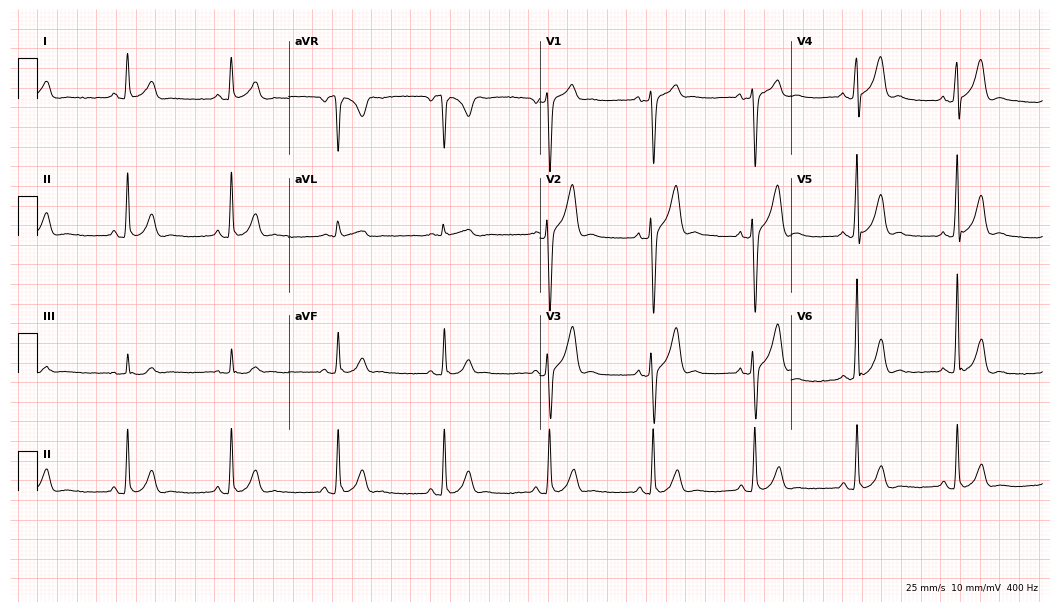
12-lead ECG from a 34-year-old male patient. Labelled as a normal ECG.